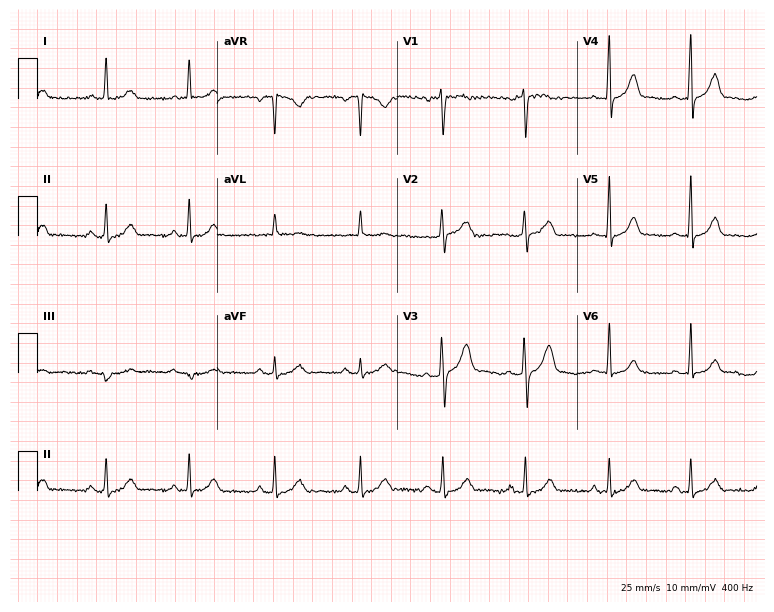
Standard 12-lead ECG recorded from a woman, 45 years old (7.3-second recording at 400 Hz). Read as a normal ECG.